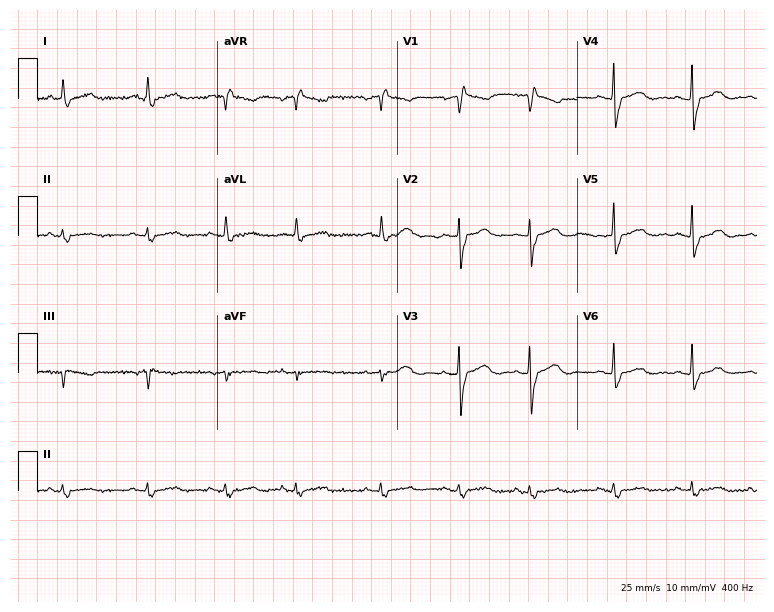
Electrocardiogram, a female, 71 years old. Of the six screened findings (first-degree AV block, right bundle branch block (RBBB), left bundle branch block (LBBB), sinus bradycardia, atrial fibrillation (AF), sinus tachycardia), none is recorded. Other findings, if any, are not listed.